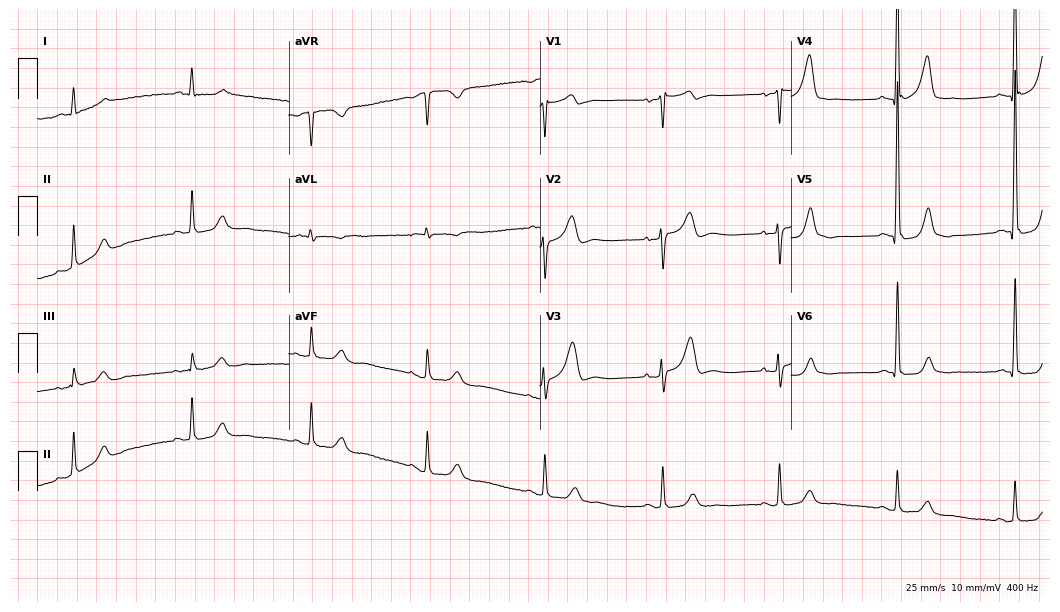
12-lead ECG from a male, 81 years old. Shows sinus bradycardia (a sinus rate of 50 beats per minute or less).